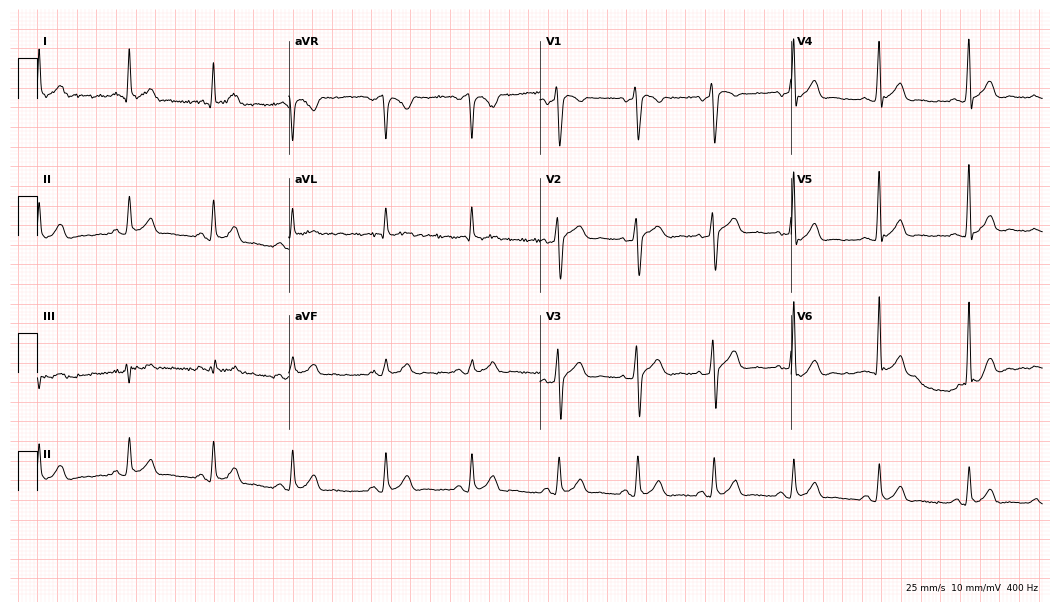
Standard 12-lead ECG recorded from a 44-year-old man (10.2-second recording at 400 Hz). Read as a normal ECG.